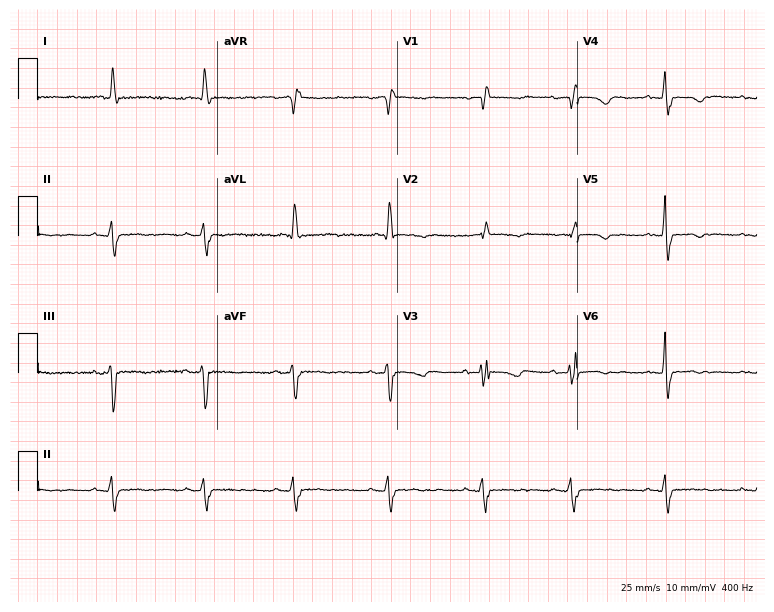
Electrocardiogram (7.3-second recording at 400 Hz), a female patient, 51 years old. Of the six screened findings (first-degree AV block, right bundle branch block (RBBB), left bundle branch block (LBBB), sinus bradycardia, atrial fibrillation (AF), sinus tachycardia), none is recorded. Other findings, if any, are not listed.